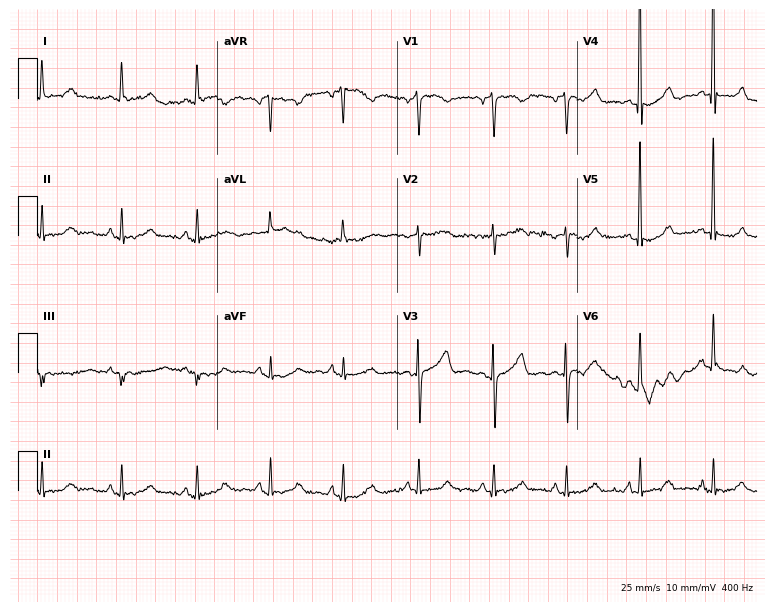
ECG — a 71-year-old female patient. Screened for six findings — first-degree AV block, right bundle branch block, left bundle branch block, sinus bradycardia, atrial fibrillation, sinus tachycardia — none is recorded.